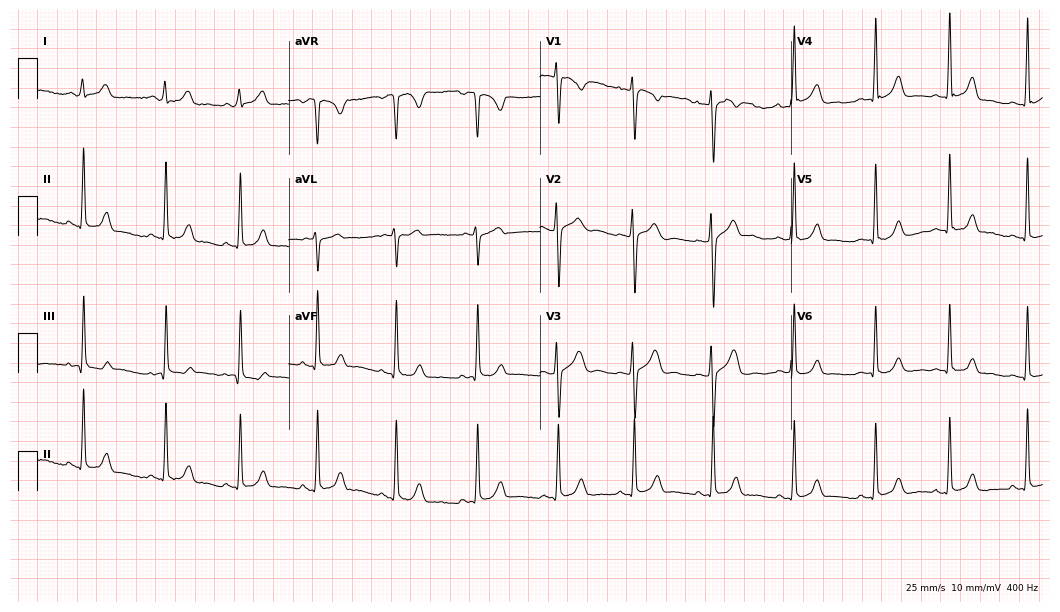
ECG (10.2-second recording at 400 Hz) — a woman, 27 years old. Labelled as a normal ECG.